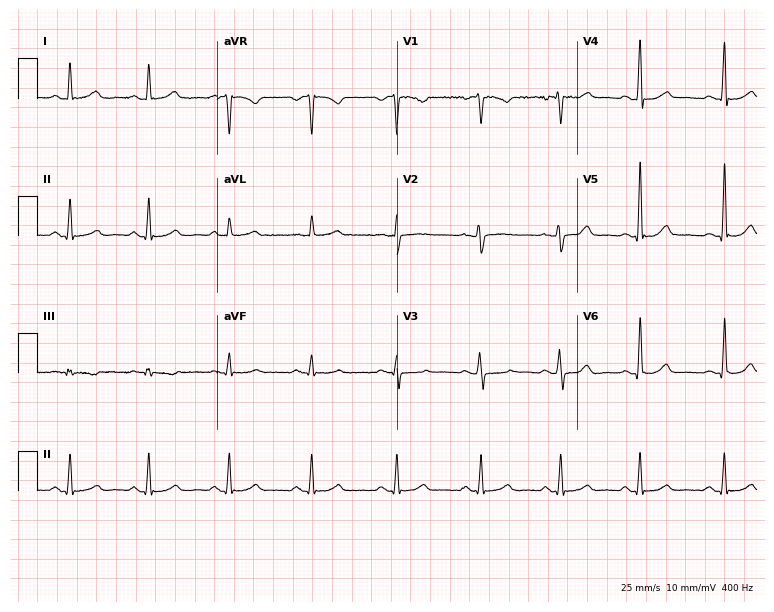
12-lead ECG from a woman, 49 years old. Screened for six findings — first-degree AV block, right bundle branch block (RBBB), left bundle branch block (LBBB), sinus bradycardia, atrial fibrillation (AF), sinus tachycardia — none is recorded. Other findings, if any, are not listed.